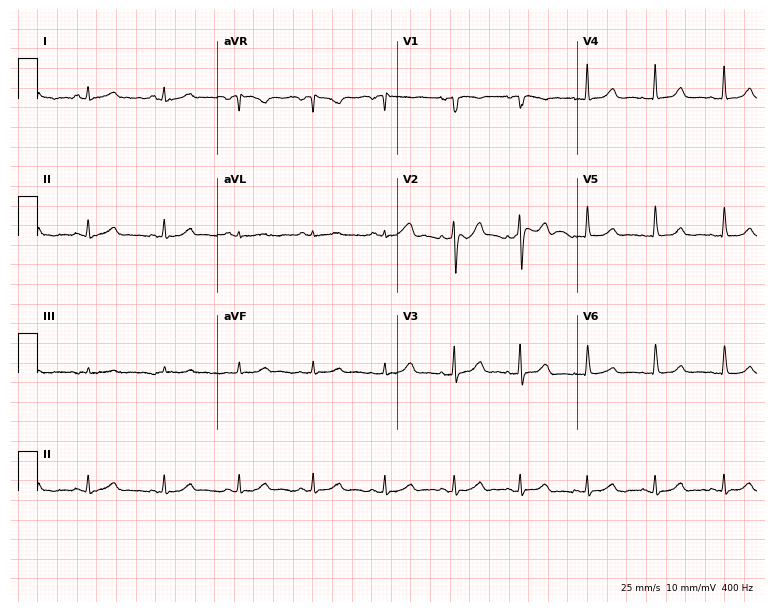
12-lead ECG (7.3-second recording at 400 Hz) from a 51-year-old female. Screened for six findings — first-degree AV block, right bundle branch block, left bundle branch block, sinus bradycardia, atrial fibrillation, sinus tachycardia — none is recorded.